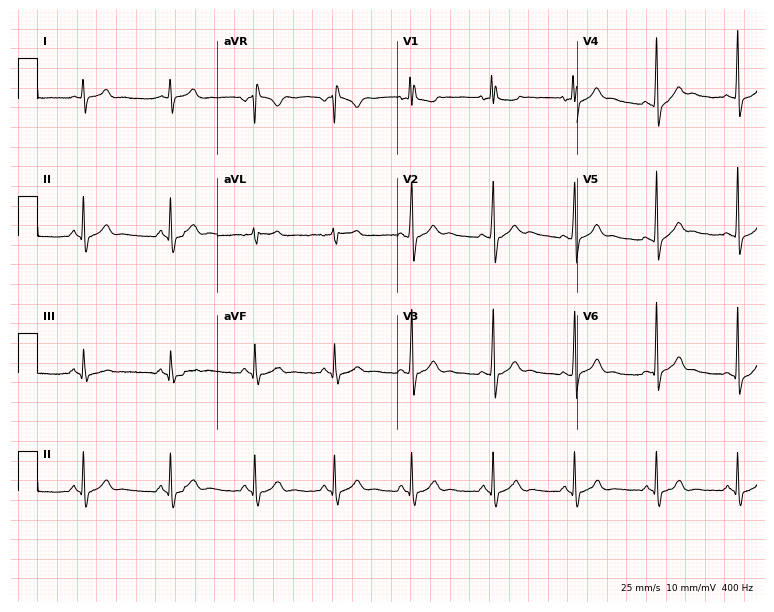
12-lead ECG from a 20-year-old male. Labelled as a normal ECG.